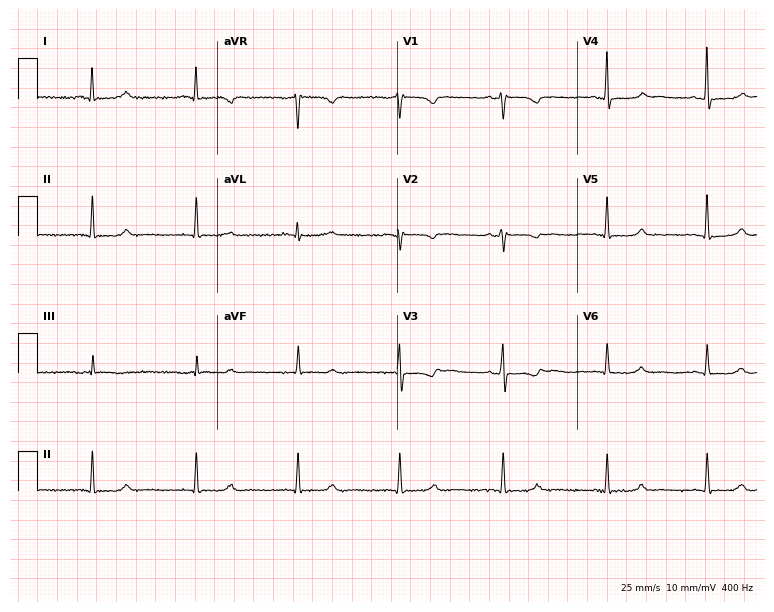
ECG (7.3-second recording at 400 Hz) — a female patient, 62 years old. Screened for six findings — first-degree AV block, right bundle branch block, left bundle branch block, sinus bradycardia, atrial fibrillation, sinus tachycardia — none is recorded. Only these six findings were labelled.